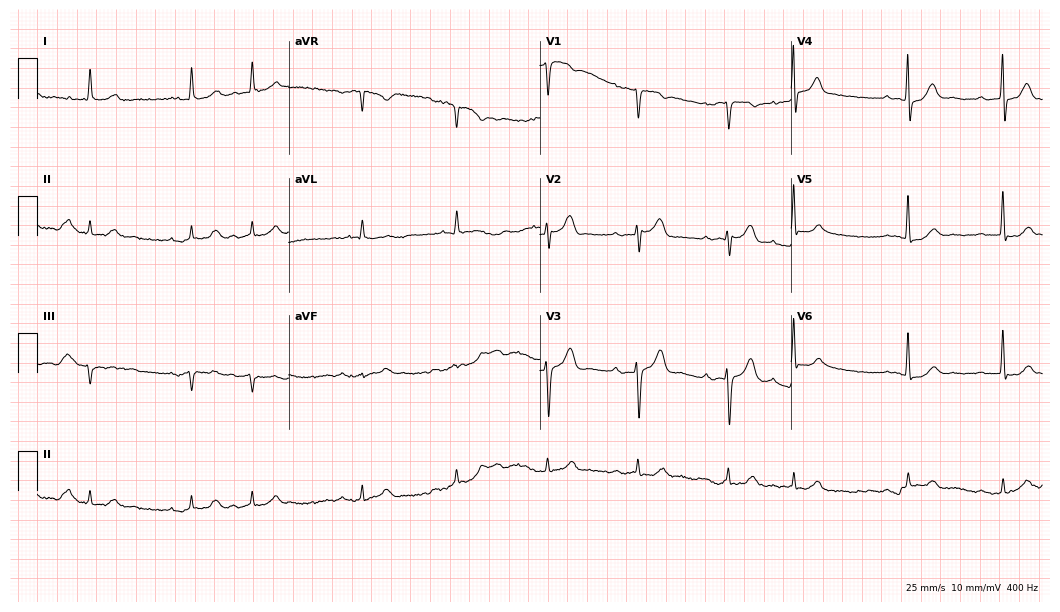
ECG (10.2-second recording at 400 Hz) — a male, 71 years old. Findings include first-degree AV block.